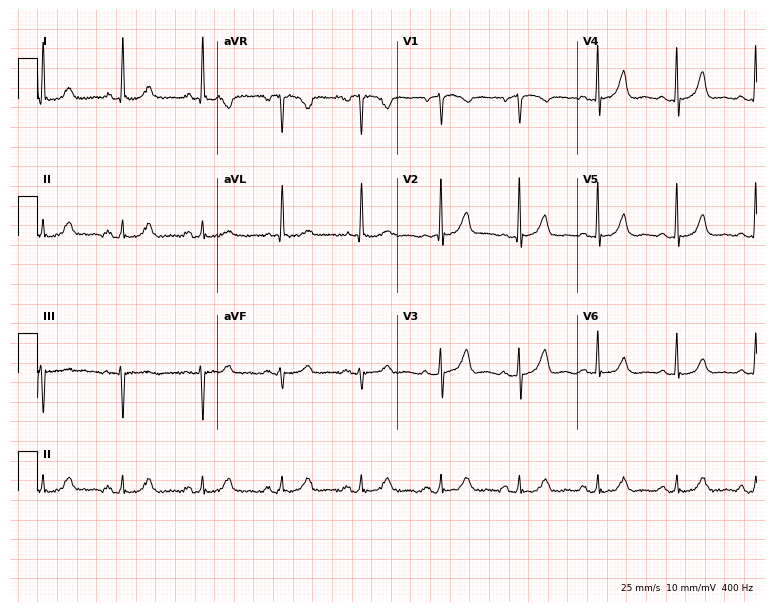
12-lead ECG from an 85-year-old female patient (7.3-second recording at 400 Hz). Recorded interpretation: within normal limits.